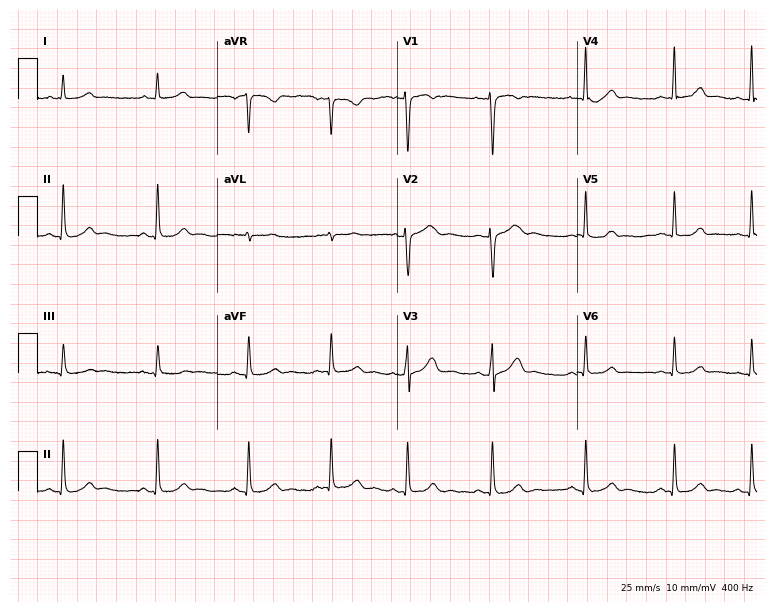
Resting 12-lead electrocardiogram (7.3-second recording at 400 Hz). Patient: a woman, 26 years old. Read as a normal ECG.